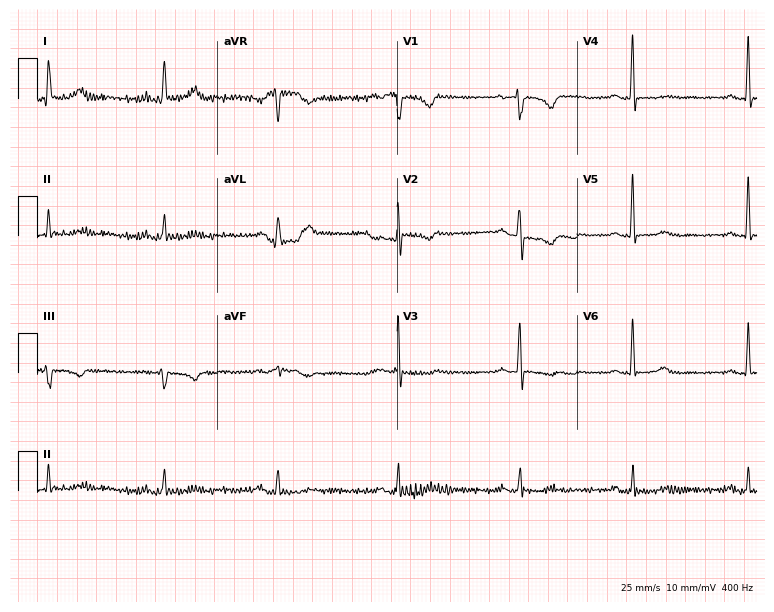
Electrocardiogram (7.3-second recording at 400 Hz), a 60-year-old female. Interpretation includes sinus bradycardia (a sinus rate of 50 beats per minute or less).